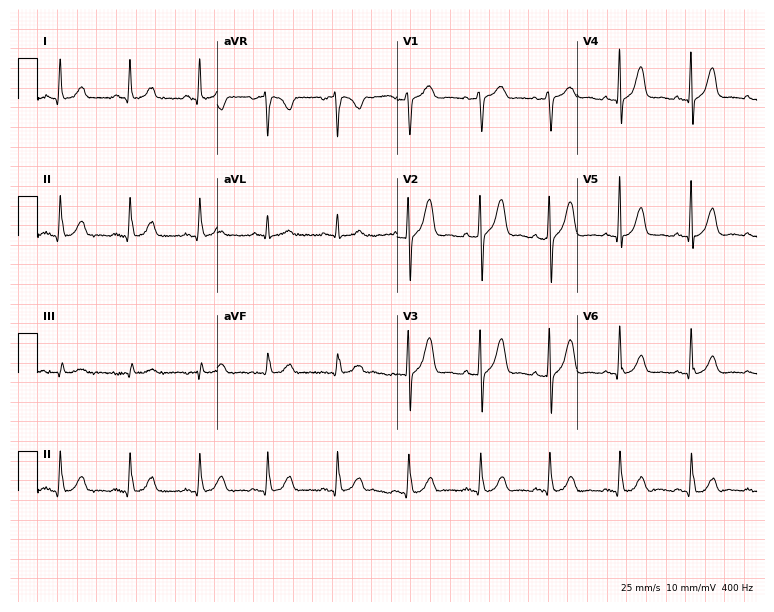
12-lead ECG (7.3-second recording at 400 Hz) from a 53-year-old female patient. Screened for six findings — first-degree AV block, right bundle branch block (RBBB), left bundle branch block (LBBB), sinus bradycardia, atrial fibrillation (AF), sinus tachycardia — none is recorded.